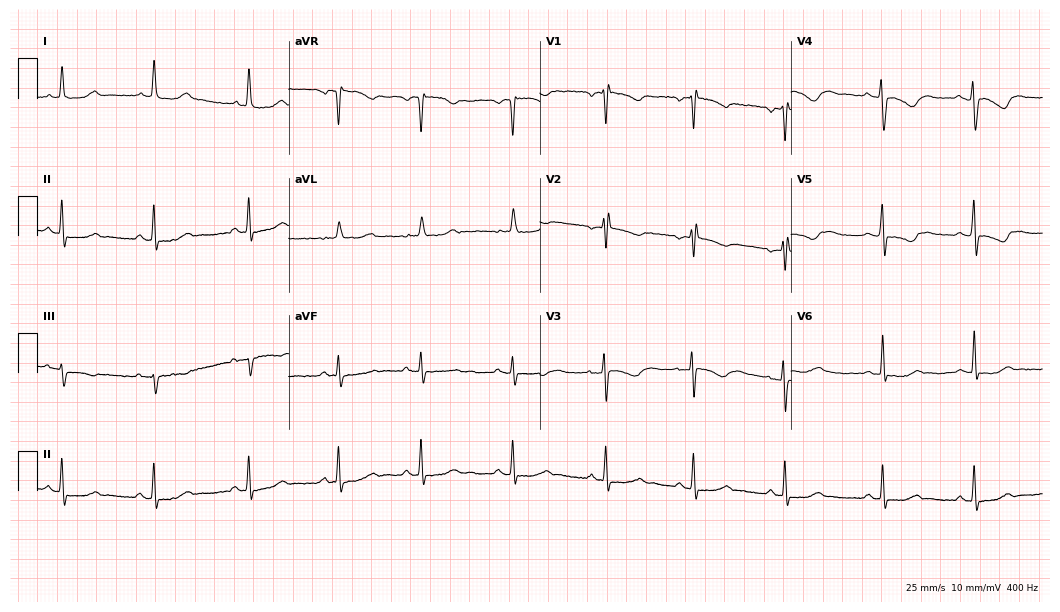
Electrocardiogram, a female patient, 36 years old. Of the six screened findings (first-degree AV block, right bundle branch block, left bundle branch block, sinus bradycardia, atrial fibrillation, sinus tachycardia), none is recorded. Only these six findings were labelled.